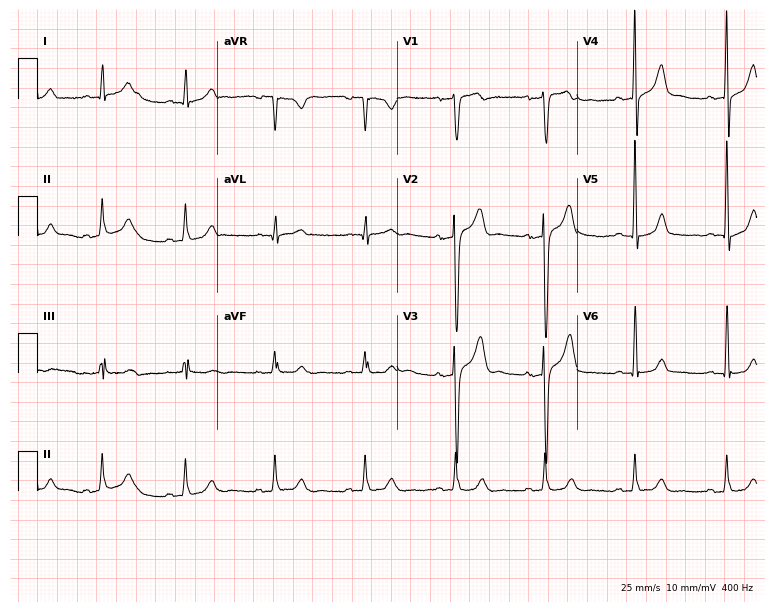
ECG — a 61-year-old male patient. Screened for six findings — first-degree AV block, right bundle branch block (RBBB), left bundle branch block (LBBB), sinus bradycardia, atrial fibrillation (AF), sinus tachycardia — none is recorded. Other findings, if any, are not listed.